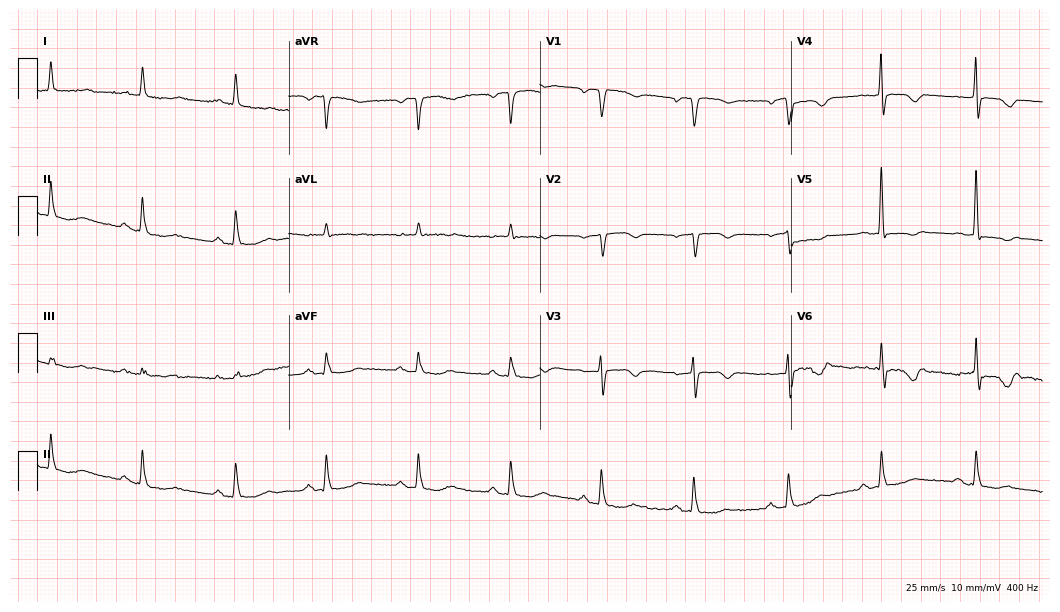
ECG (10.2-second recording at 400 Hz) — a female patient, 36 years old. Labelled as a normal ECG.